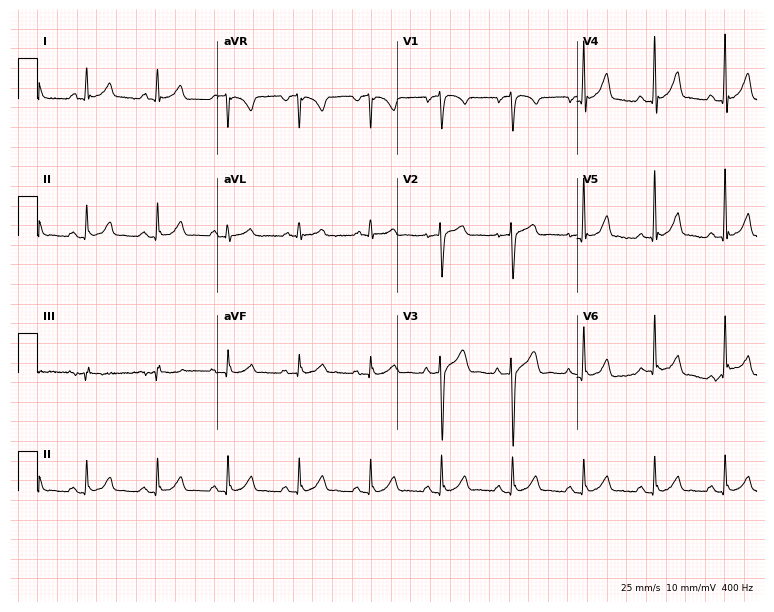
Electrocardiogram, a 72-year-old male patient. Overall reading on record: normal ECG.